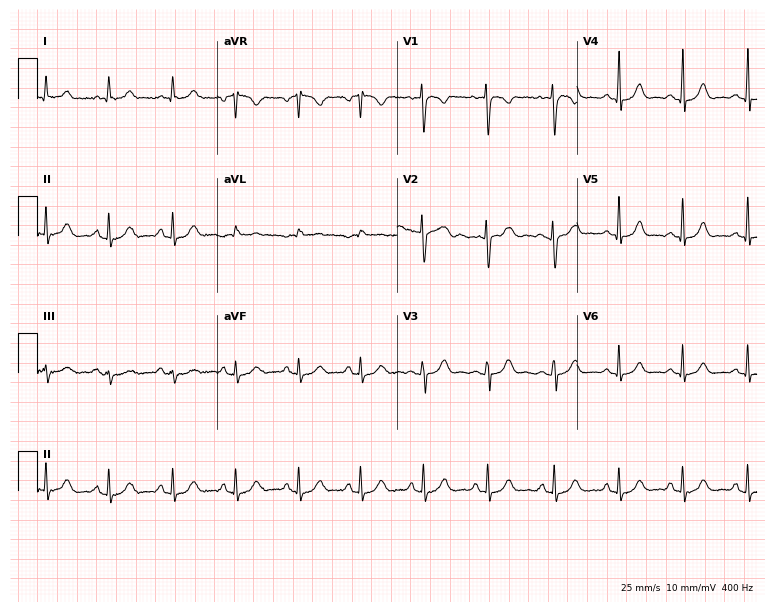
12-lead ECG from a 22-year-old woman. No first-degree AV block, right bundle branch block (RBBB), left bundle branch block (LBBB), sinus bradycardia, atrial fibrillation (AF) or sinus tachycardia recorded for this tracing. Other findings, if any, are not listed.